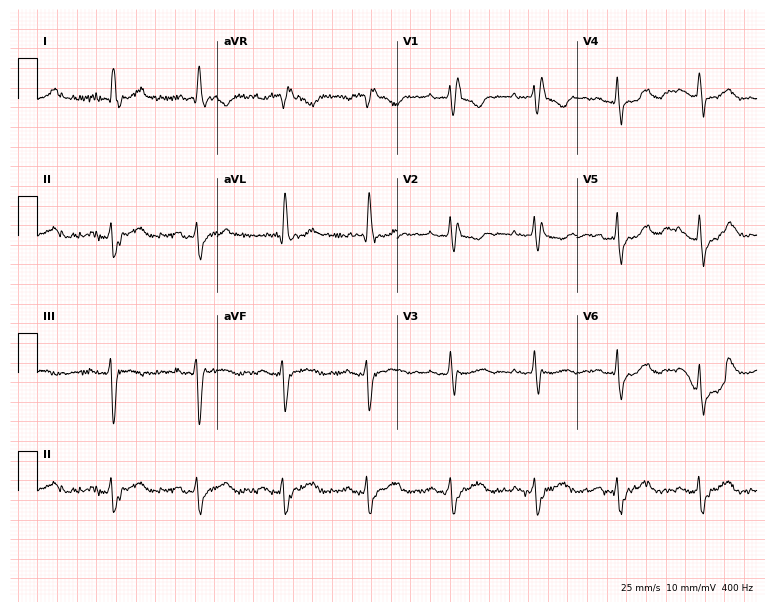
ECG — a 74-year-old woman. Findings include right bundle branch block.